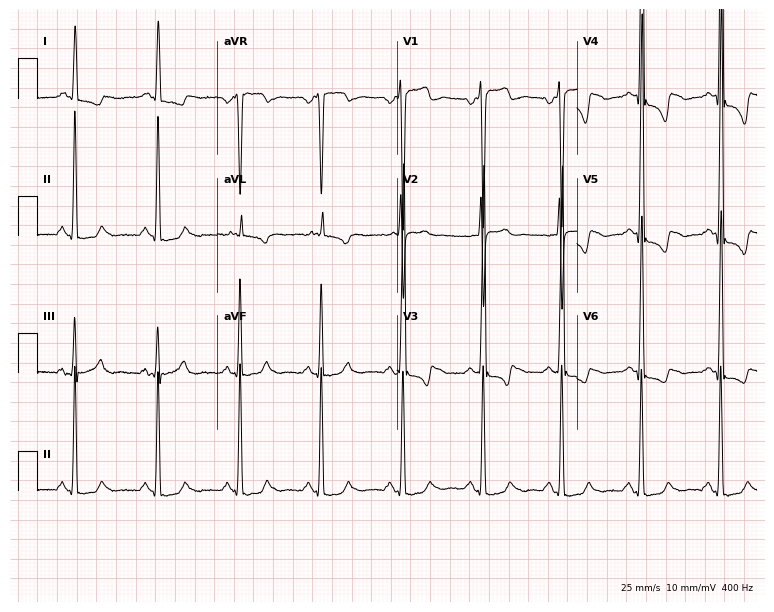
ECG (7.3-second recording at 400 Hz) — a male, 57 years old. Screened for six findings — first-degree AV block, right bundle branch block, left bundle branch block, sinus bradycardia, atrial fibrillation, sinus tachycardia — none is recorded.